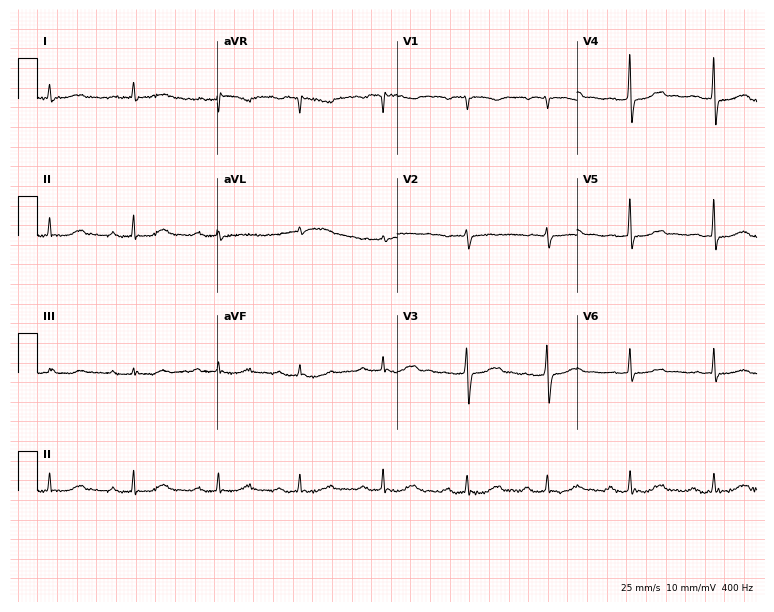
12-lead ECG (7.3-second recording at 400 Hz) from a 74-year-old man. Findings include first-degree AV block.